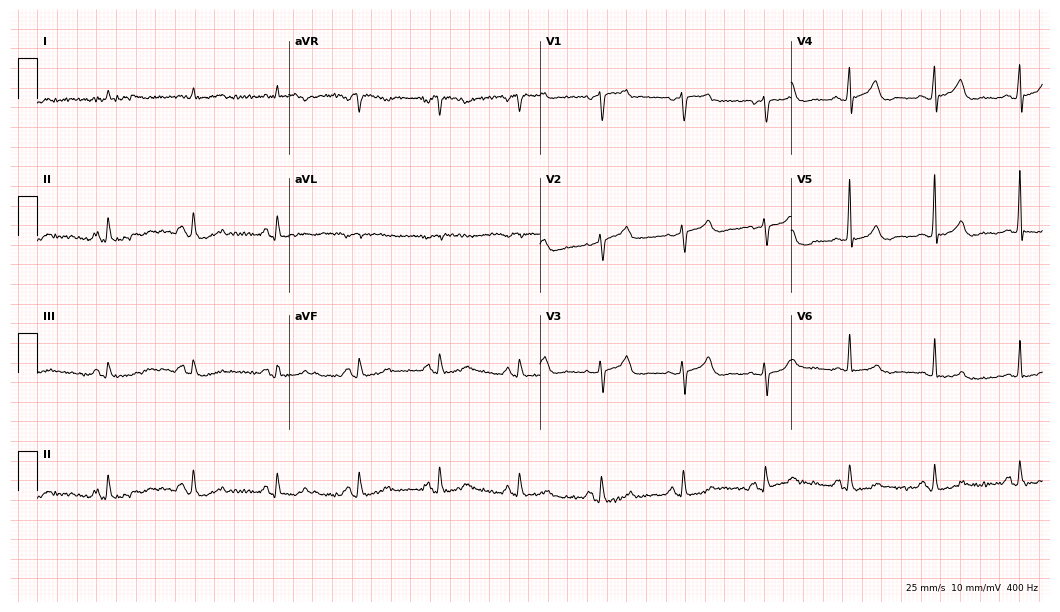
Standard 12-lead ECG recorded from a 57-year-old male patient. None of these six findings is recorded: first-degree AV block, right bundle branch block, left bundle branch block, sinus bradycardia, atrial fibrillation, sinus tachycardia. Other findings, if any, are not listed.